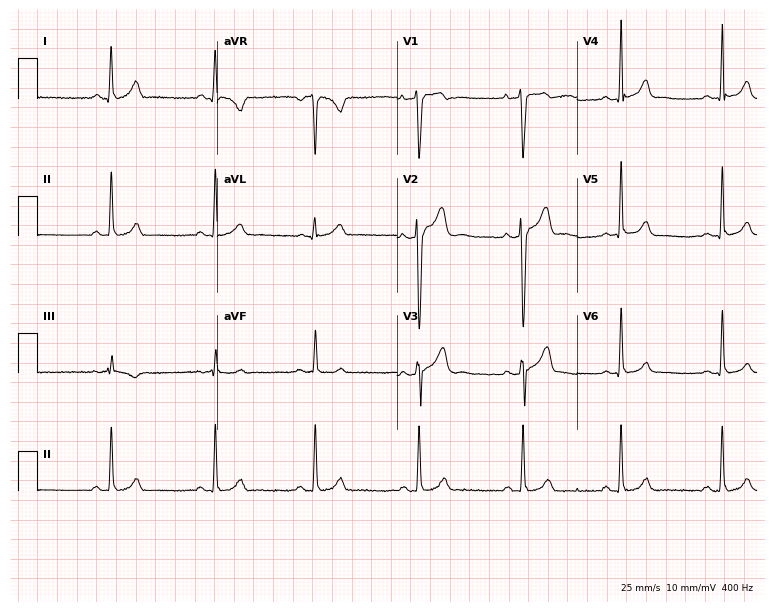
12-lead ECG (7.3-second recording at 400 Hz) from a male patient, 23 years old. Screened for six findings — first-degree AV block, right bundle branch block, left bundle branch block, sinus bradycardia, atrial fibrillation, sinus tachycardia — none is recorded.